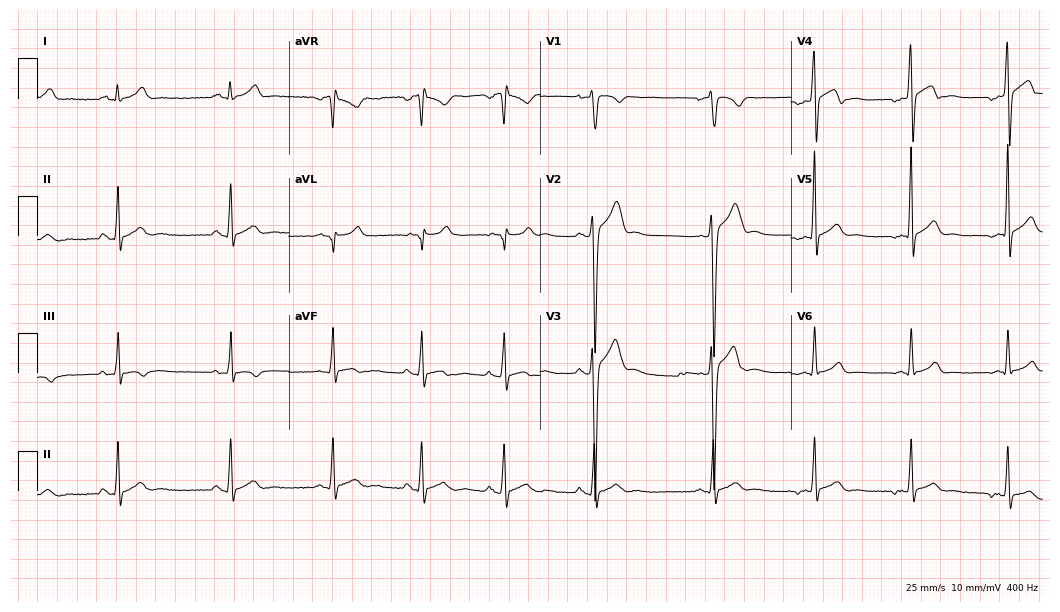
Electrocardiogram, a man, 21 years old. Overall reading on record: normal ECG.